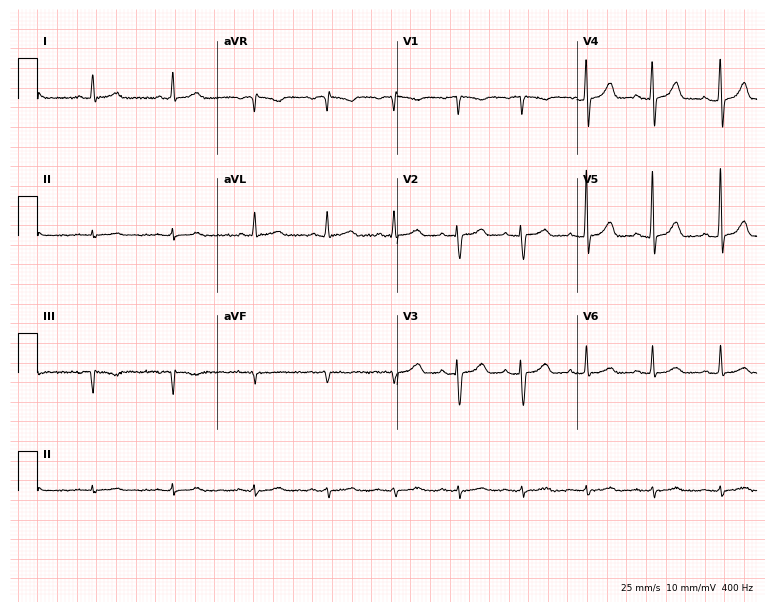
12-lead ECG from a woman, 83 years old. Labelled as a normal ECG.